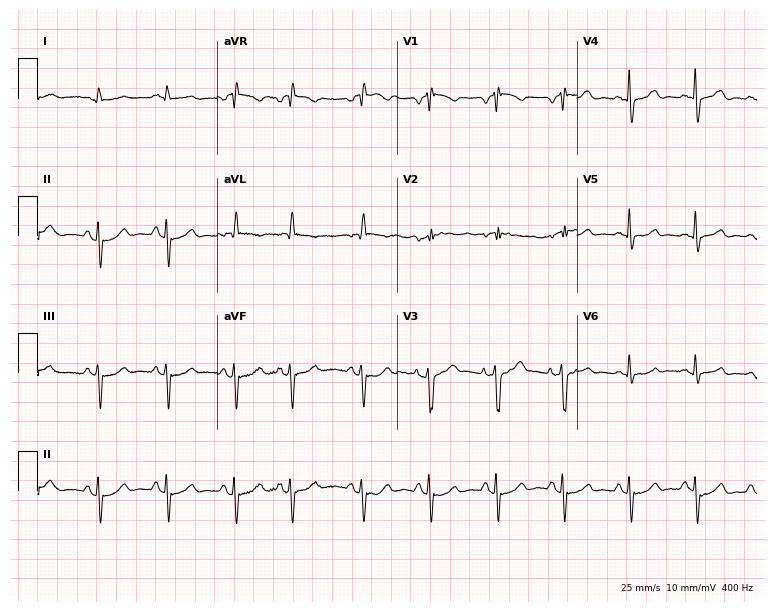
Standard 12-lead ECG recorded from an 84-year-old male. Read as a normal ECG.